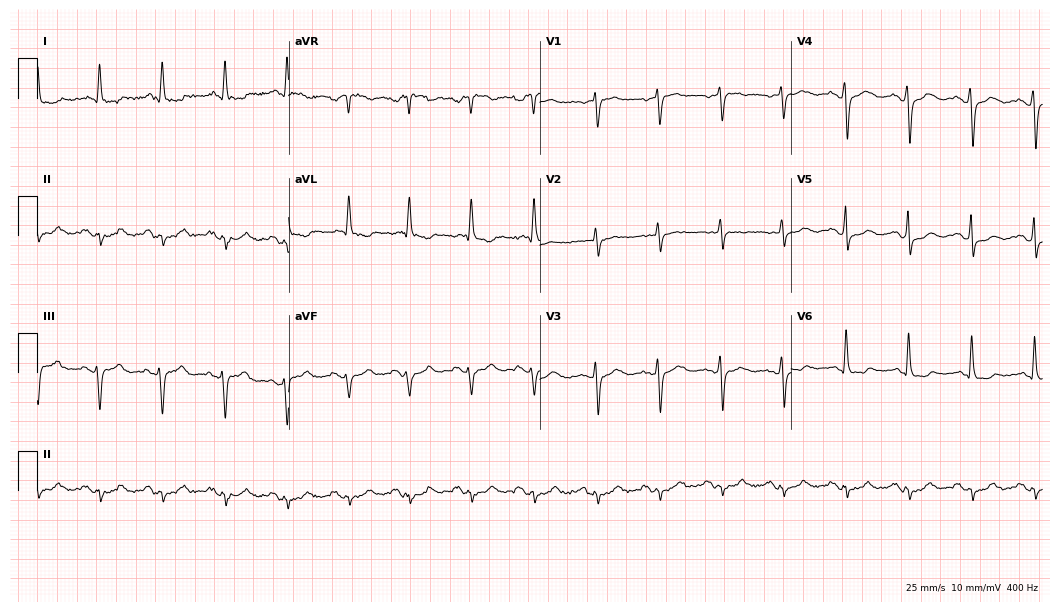
Standard 12-lead ECG recorded from a female patient, 82 years old. None of these six findings is recorded: first-degree AV block, right bundle branch block (RBBB), left bundle branch block (LBBB), sinus bradycardia, atrial fibrillation (AF), sinus tachycardia.